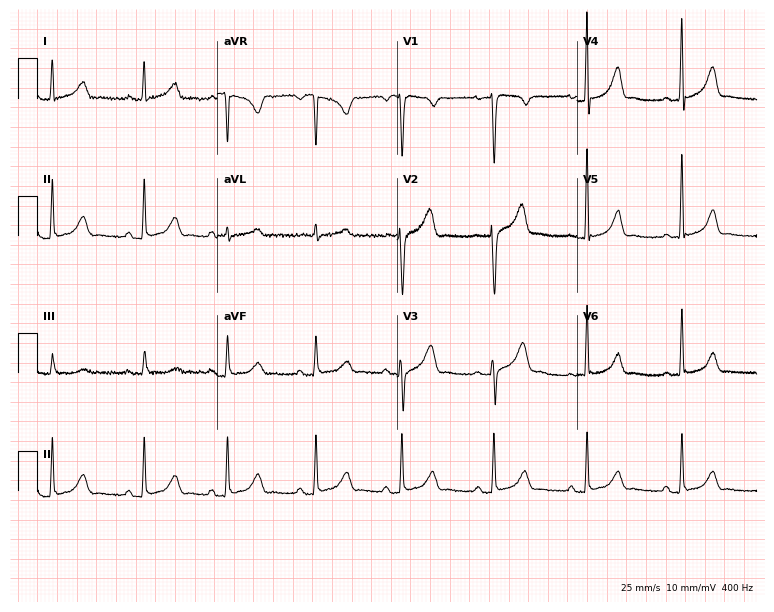
Resting 12-lead electrocardiogram (7.3-second recording at 400 Hz). Patient: a female, 43 years old. Read as a normal ECG.